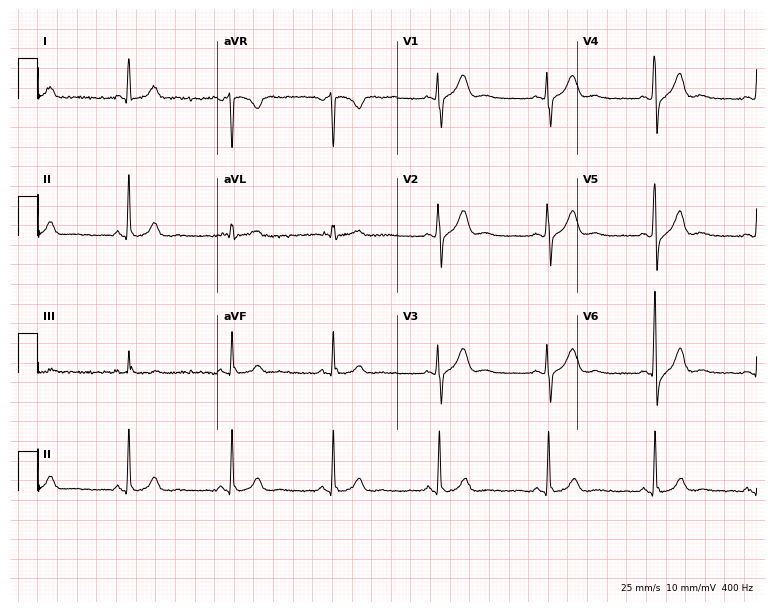
Electrocardiogram (7.3-second recording at 400 Hz), a 30-year-old male patient. Of the six screened findings (first-degree AV block, right bundle branch block, left bundle branch block, sinus bradycardia, atrial fibrillation, sinus tachycardia), none is recorded. Other findings, if any, are not listed.